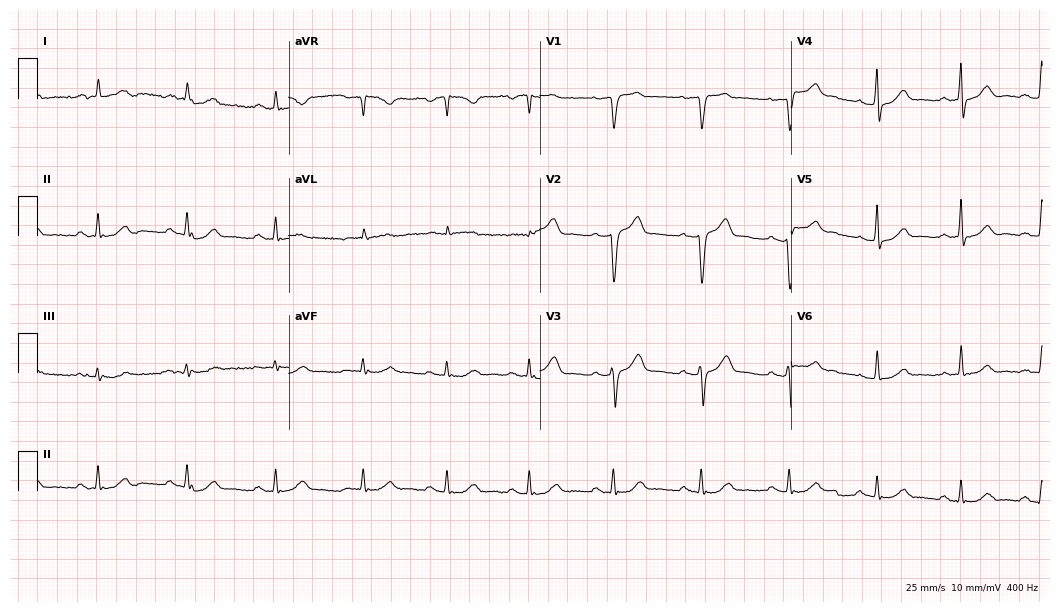
12-lead ECG from a man, 45 years old (10.2-second recording at 400 Hz). Recorded interpretation: within normal limits.